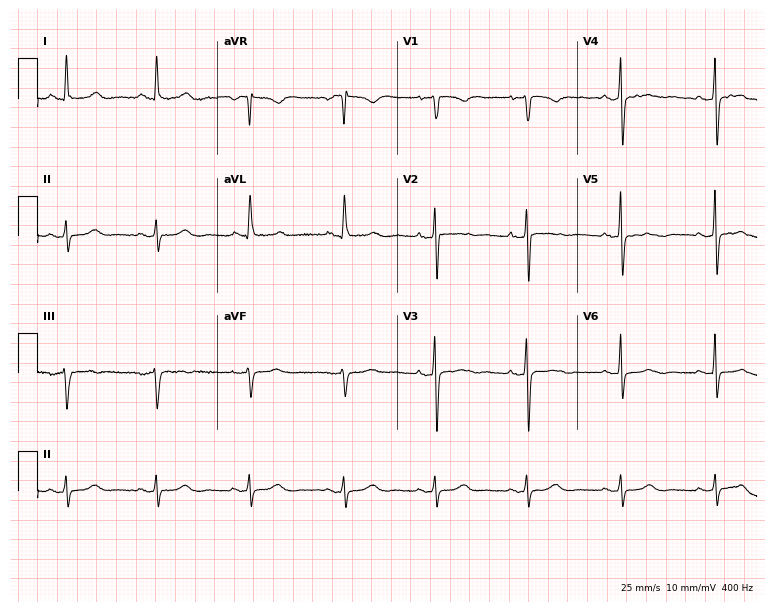
ECG (7.3-second recording at 400 Hz) — a 67-year-old woman. Screened for six findings — first-degree AV block, right bundle branch block, left bundle branch block, sinus bradycardia, atrial fibrillation, sinus tachycardia — none is recorded. Only these six findings were labelled.